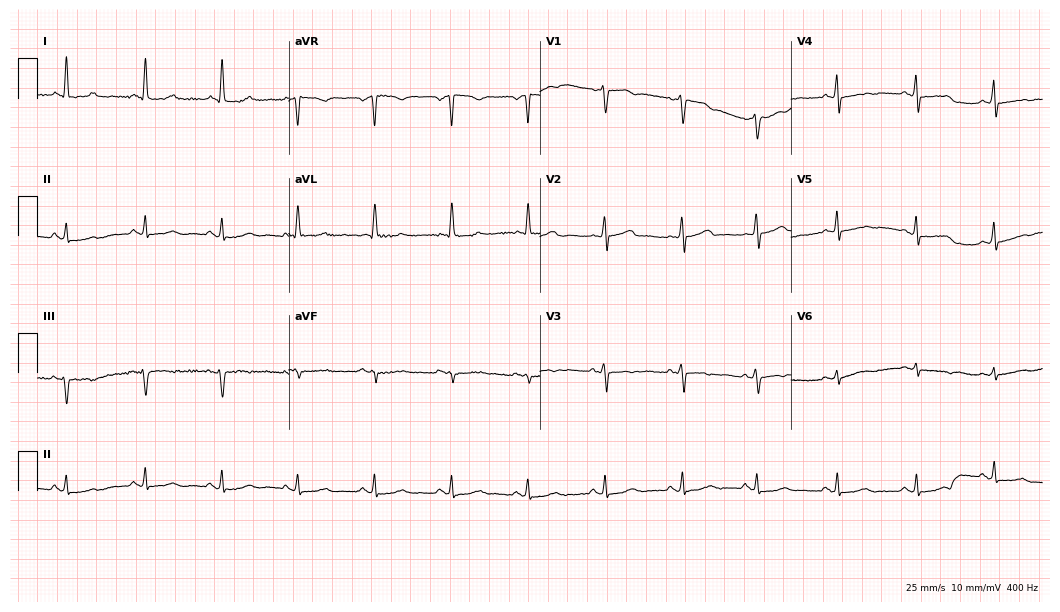
Standard 12-lead ECG recorded from a female patient, 77 years old. None of these six findings is recorded: first-degree AV block, right bundle branch block, left bundle branch block, sinus bradycardia, atrial fibrillation, sinus tachycardia. Only these six findings were labelled.